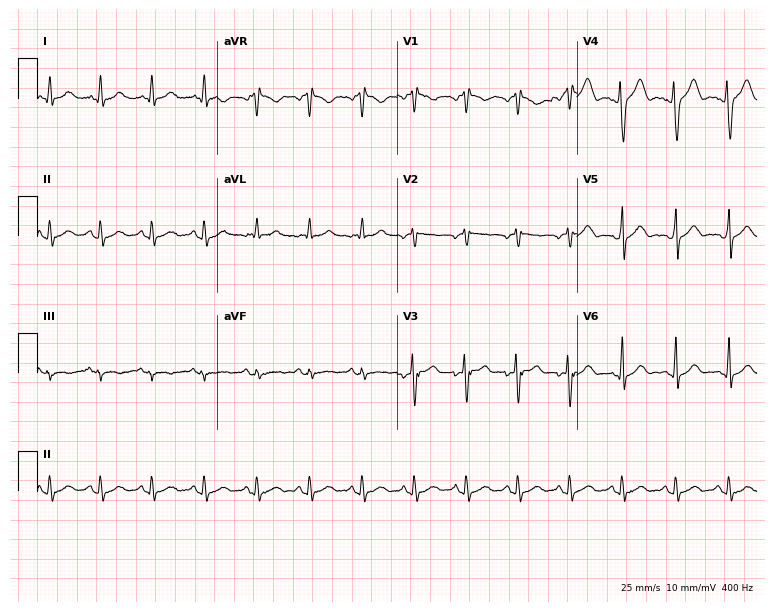
ECG (7.3-second recording at 400 Hz) — a 26-year-old male. Findings include sinus tachycardia (a sinus rate of 100 beats per minute or more).